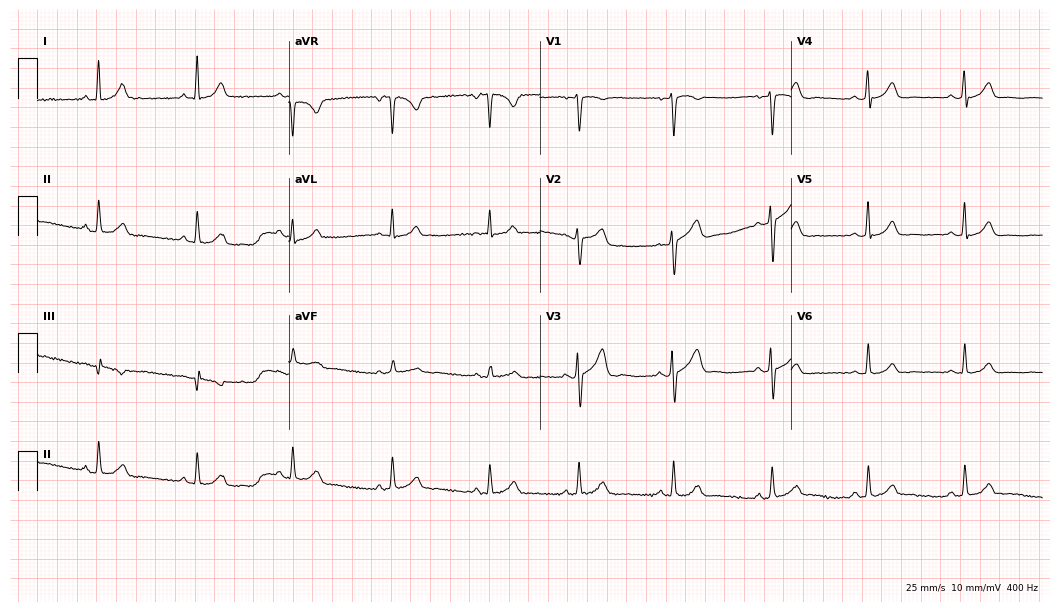
12-lead ECG from a 41-year-old female patient (10.2-second recording at 400 Hz). Recorded interpretation: within normal limits.